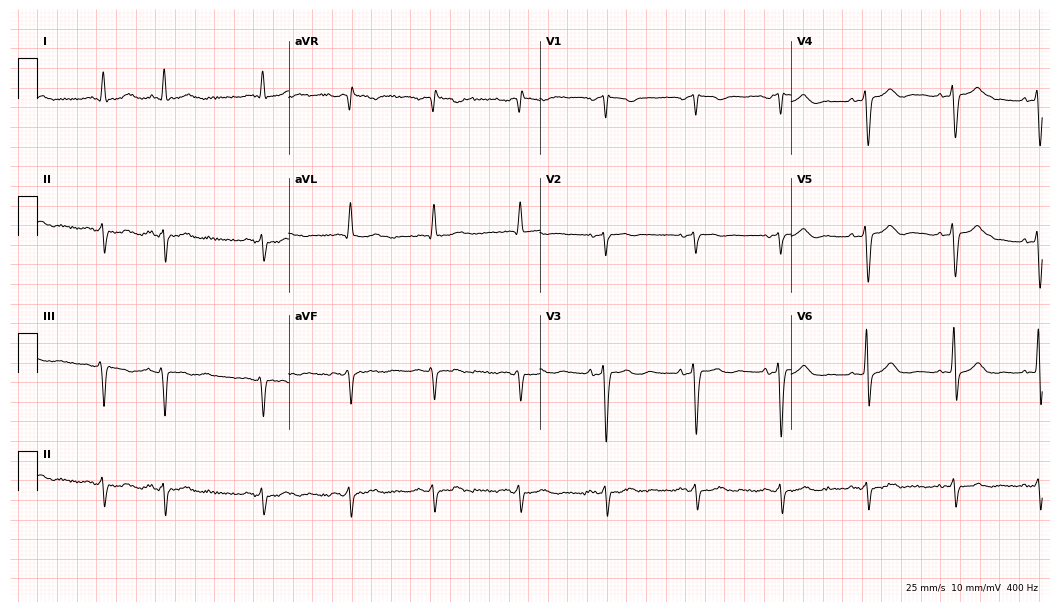
Standard 12-lead ECG recorded from a 73-year-old male. None of these six findings is recorded: first-degree AV block, right bundle branch block, left bundle branch block, sinus bradycardia, atrial fibrillation, sinus tachycardia.